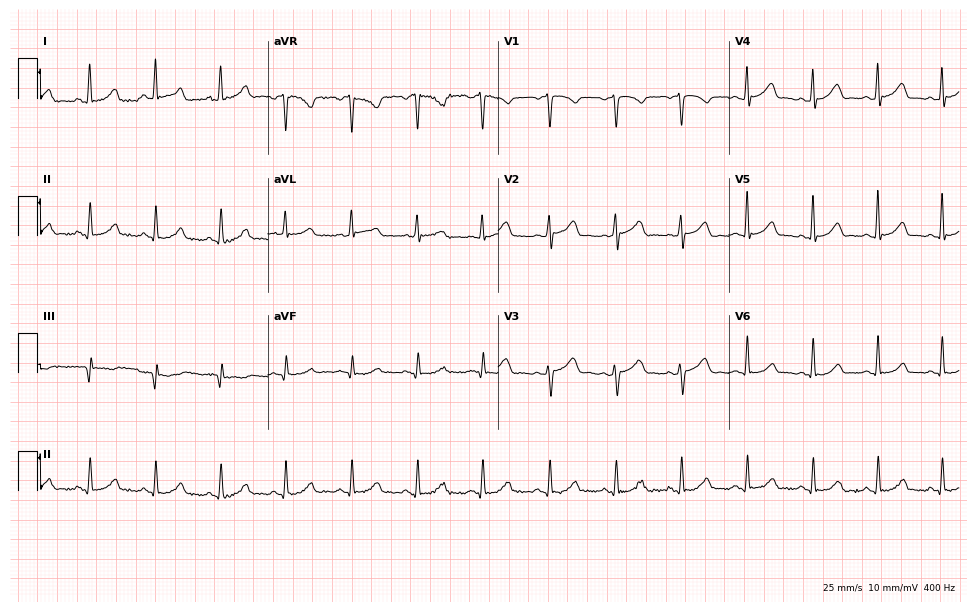
12-lead ECG from a 42-year-old female patient (9.4-second recording at 400 Hz). Recorded interpretation: within normal limits.